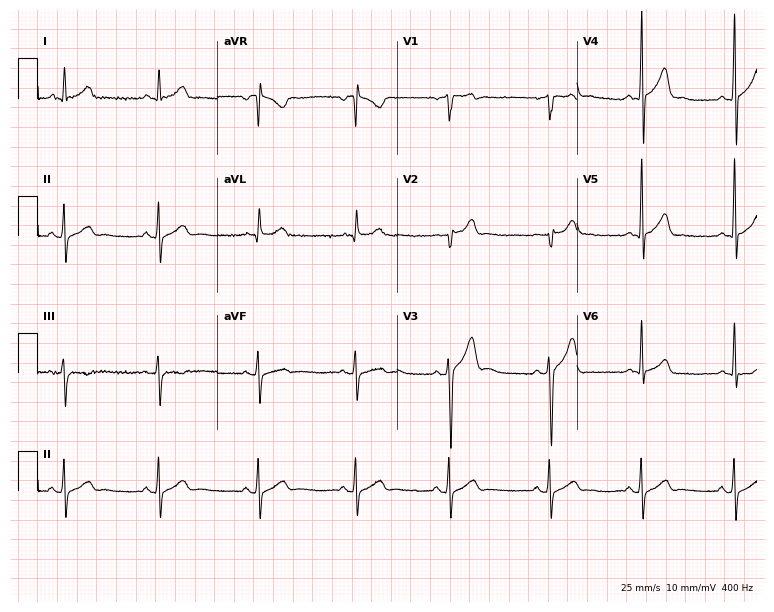
12-lead ECG from a male patient, 25 years old. Labelled as a normal ECG.